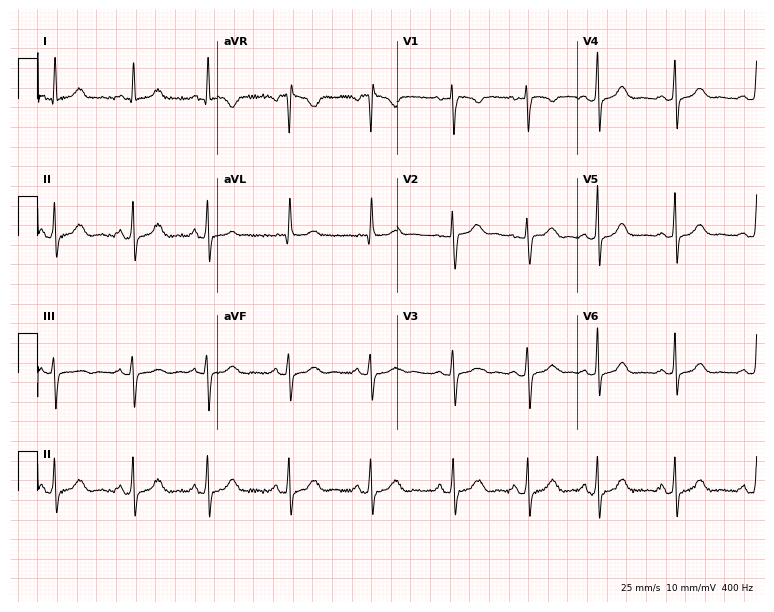
Electrocardiogram, a 34-year-old female patient. Overall reading on record: normal ECG.